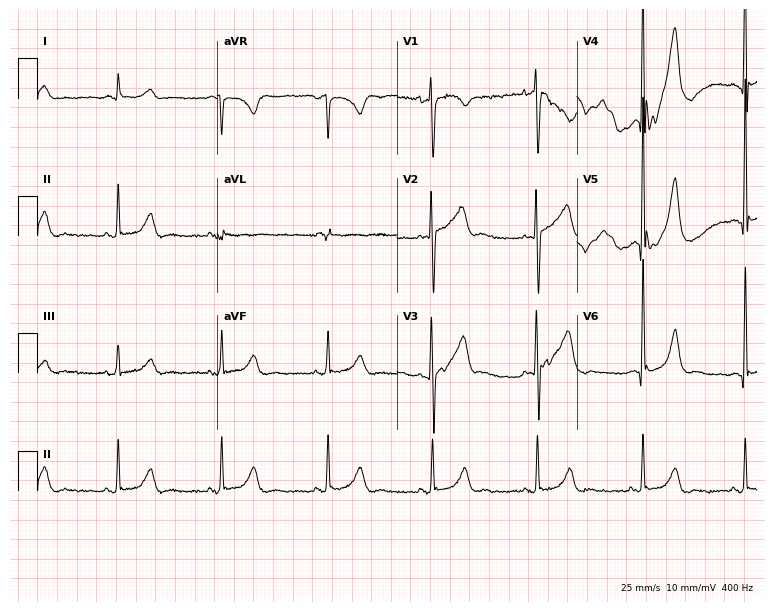
Electrocardiogram (7.3-second recording at 400 Hz), a man, 49 years old. Of the six screened findings (first-degree AV block, right bundle branch block (RBBB), left bundle branch block (LBBB), sinus bradycardia, atrial fibrillation (AF), sinus tachycardia), none is recorded. Other findings, if any, are not listed.